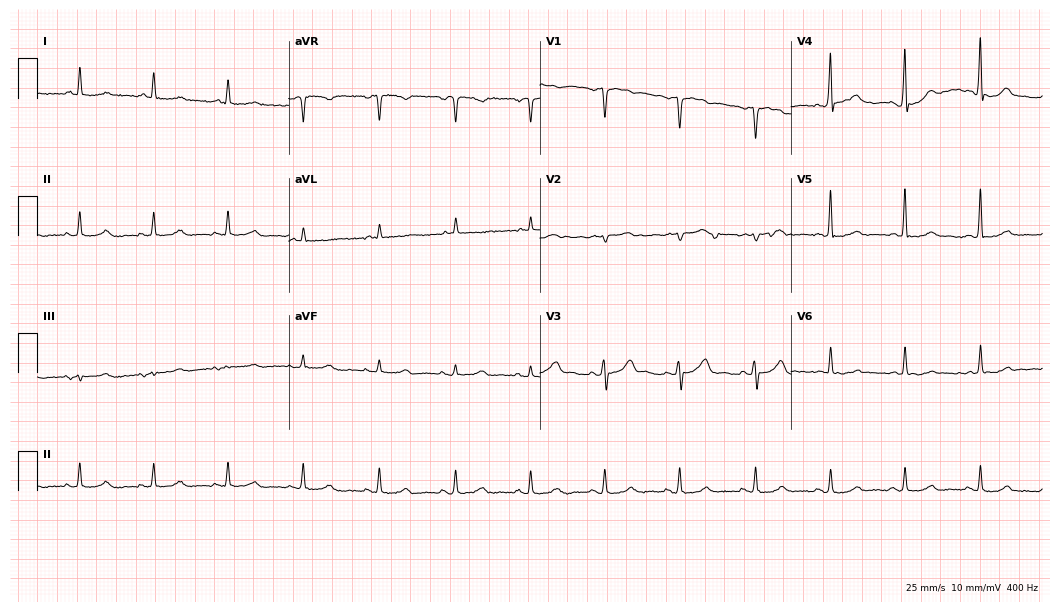
Electrocardiogram (10.2-second recording at 400 Hz), a 62-year-old man. Overall reading on record: normal ECG.